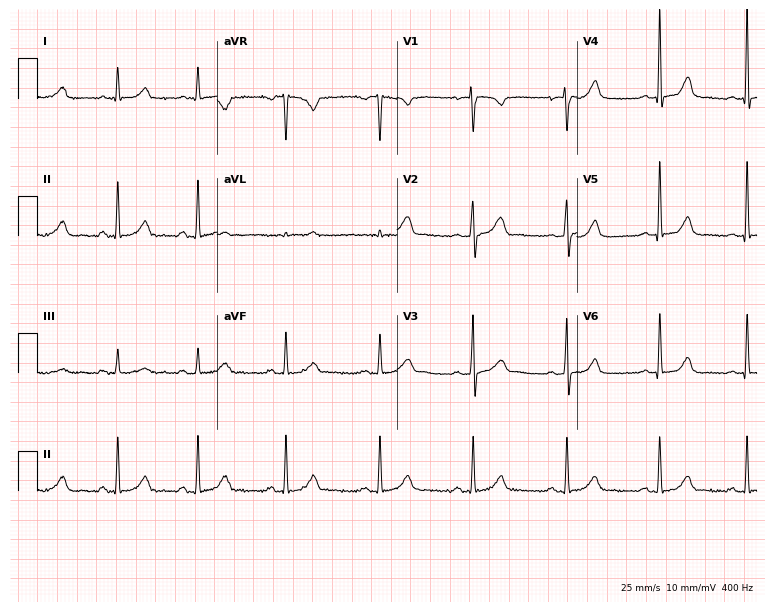
12-lead ECG from a 39-year-old female patient. Recorded interpretation: within normal limits.